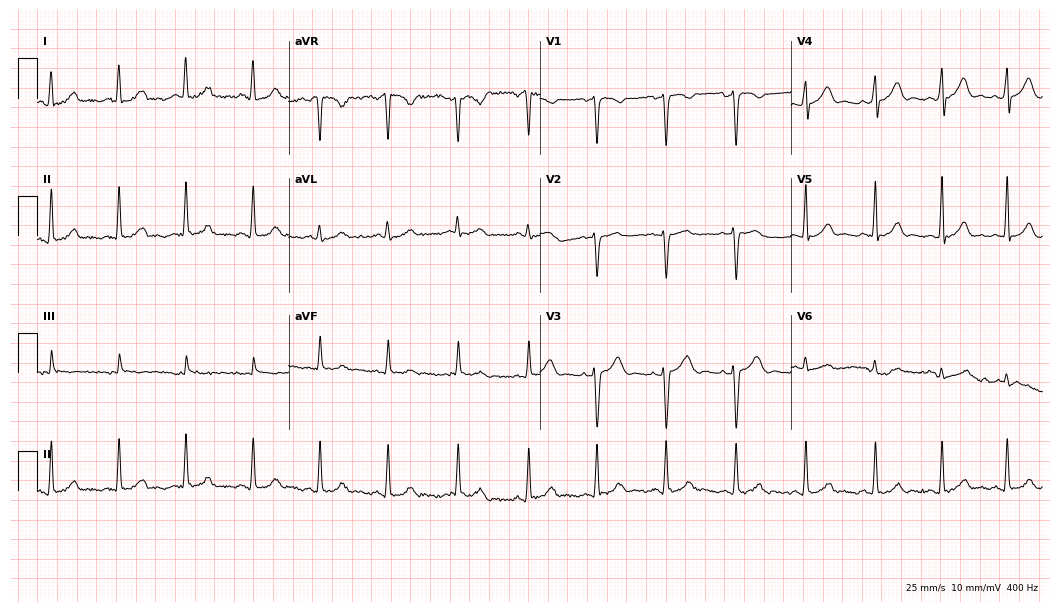
Resting 12-lead electrocardiogram. Patient: a 23-year-old female. Read as a normal ECG.